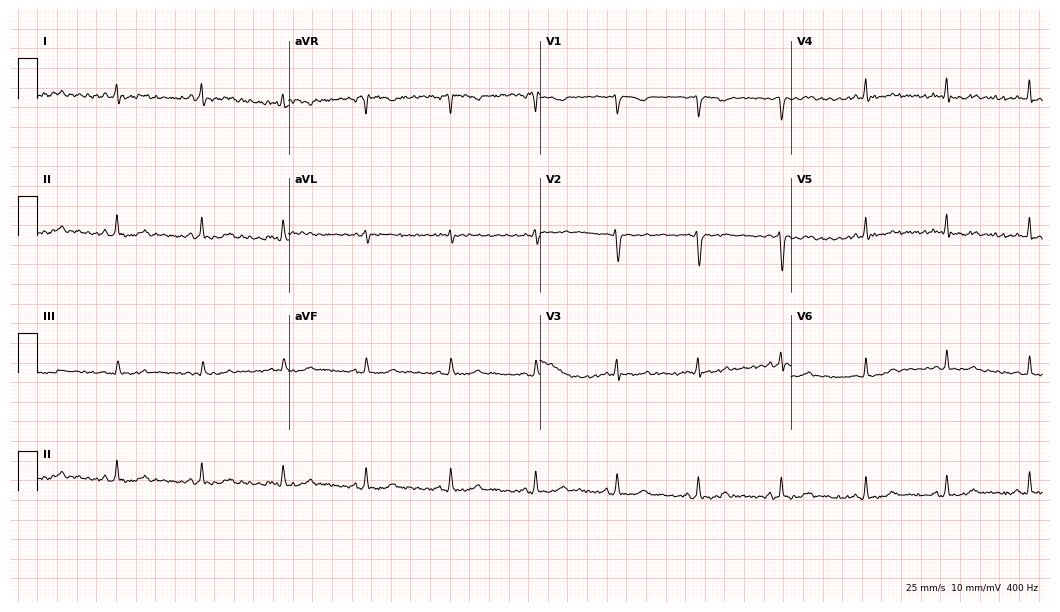
ECG — a female patient, 31 years old. Screened for six findings — first-degree AV block, right bundle branch block, left bundle branch block, sinus bradycardia, atrial fibrillation, sinus tachycardia — none is recorded.